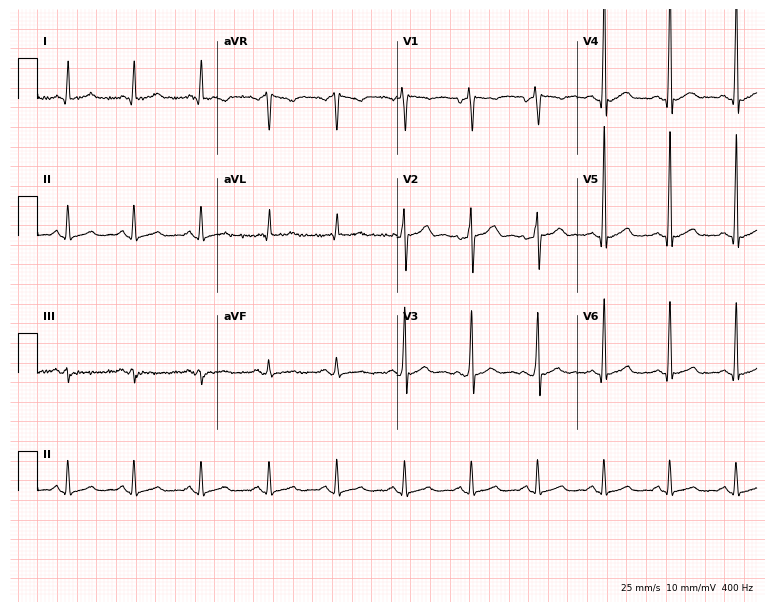
ECG (7.3-second recording at 400 Hz) — a male patient, 48 years old. Screened for six findings — first-degree AV block, right bundle branch block, left bundle branch block, sinus bradycardia, atrial fibrillation, sinus tachycardia — none is recorded. Only these six findings were labelled.